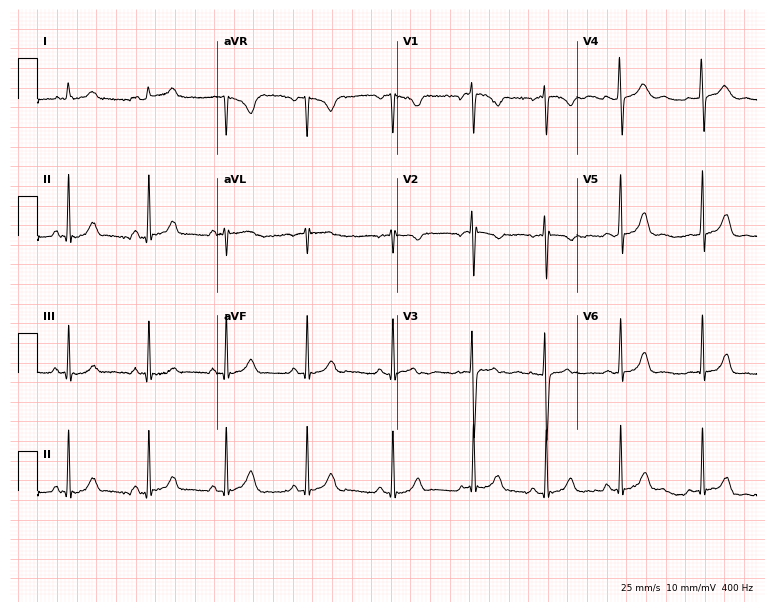
Standard 12-lead ECG recorded from an 18-year-old female. Read as a normal ECG.